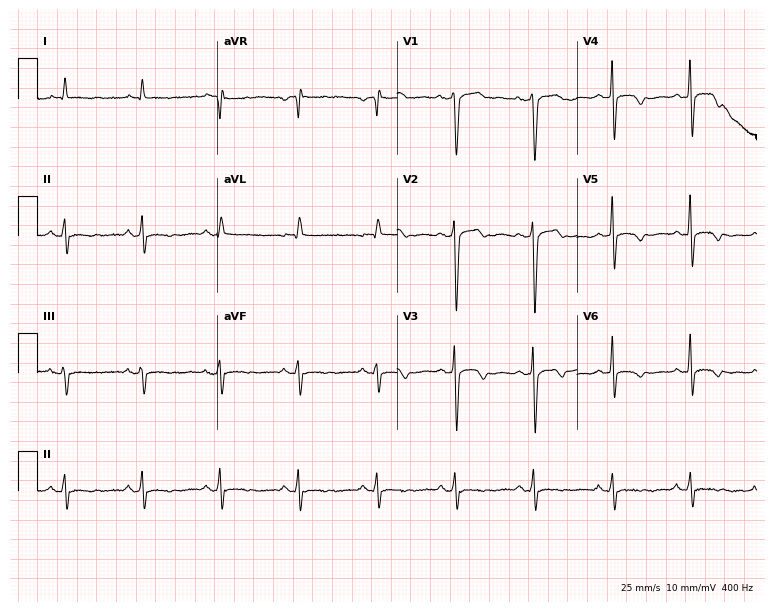
12-lead ECG (7.3-second recording at 400 Hz) from a woman, 66 years old. Screened for six findings — first-degree AV block, right bundle branch block, left bundle branch block, sinus bradycardia, atrial fibrillation, sinus tachycardia — none is recorded. Only these six findings were labelled.